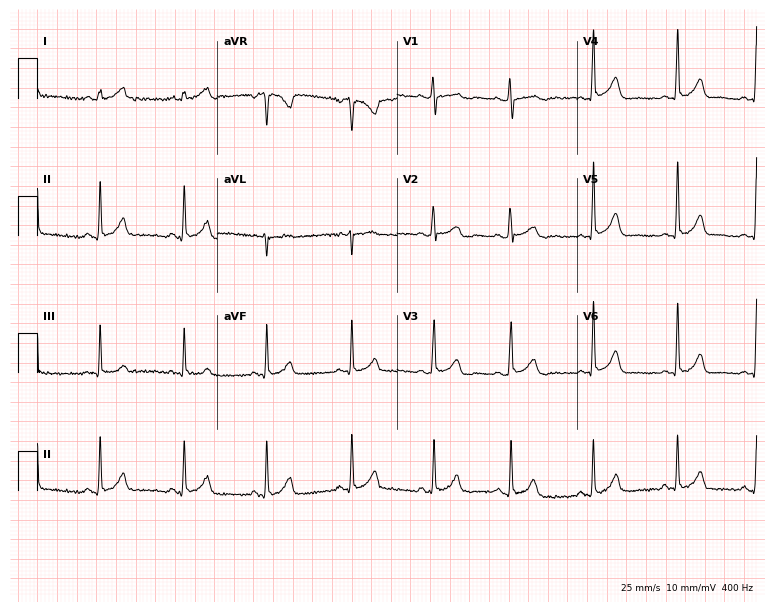
ECG — a female, 30 years old. Labelled as a normal ECG.